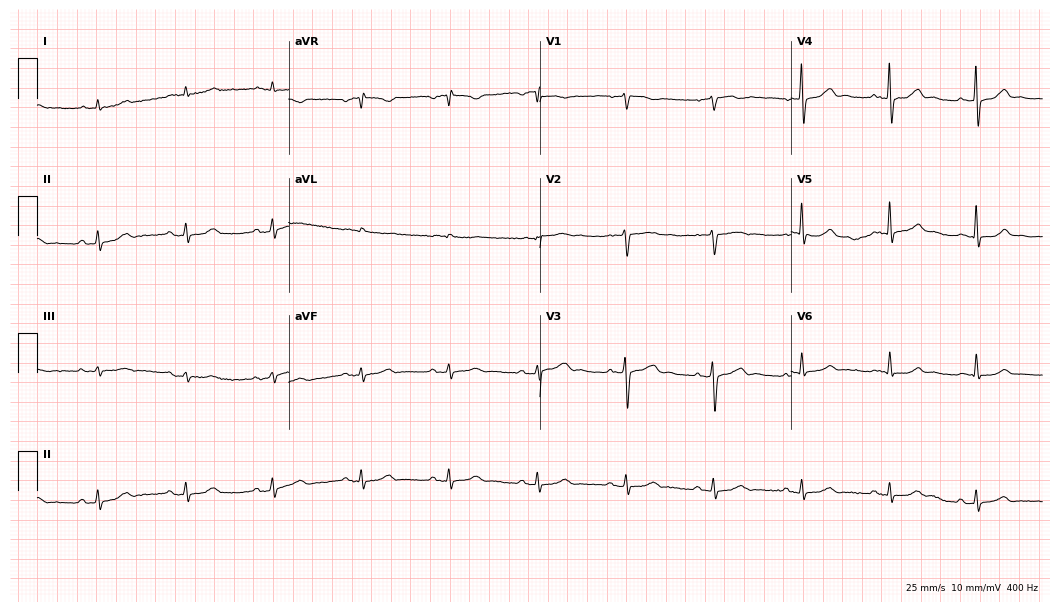
ECG (10.2-second recording at 400 Hz) — a male, 76 years old. Labelled as a normal ECG.